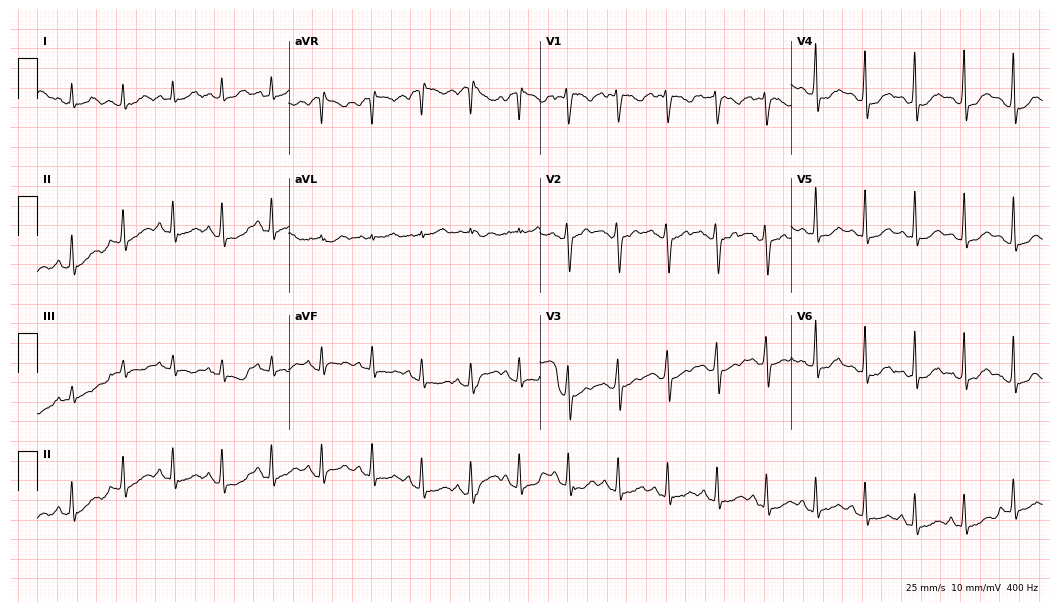
Resting 12-lead electrocardiogram (10.2-second recording at 400 Hz). Patient: a 21-year-old female. The tracing shows sinus tachycardia (a sinus rate of 100 beats per minute or more).